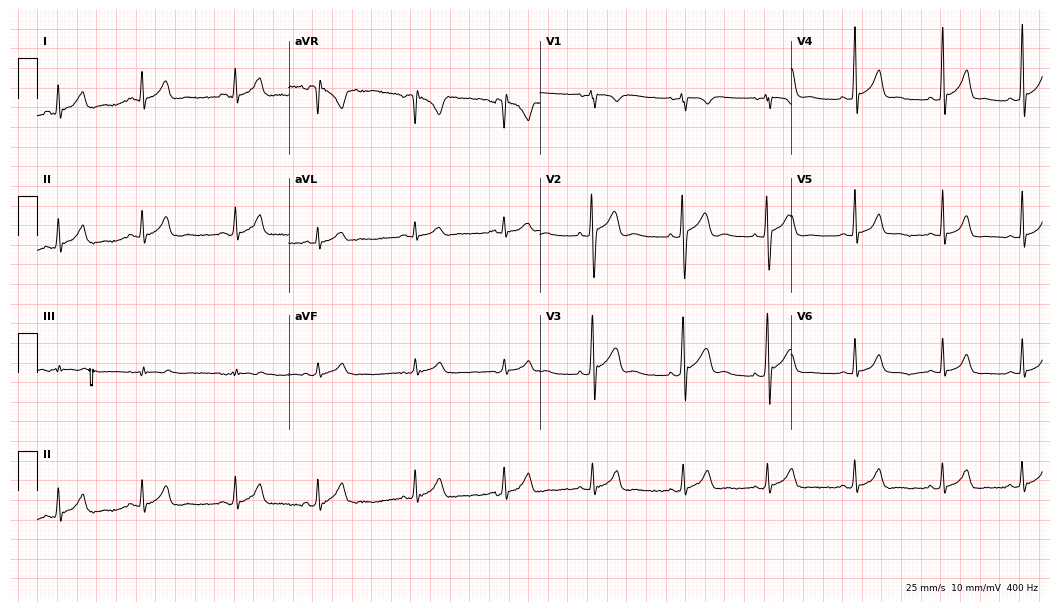
ECG (10.2-second recording at 400 Hz) — an 18-year-old man. Labelled as a normal ECG.